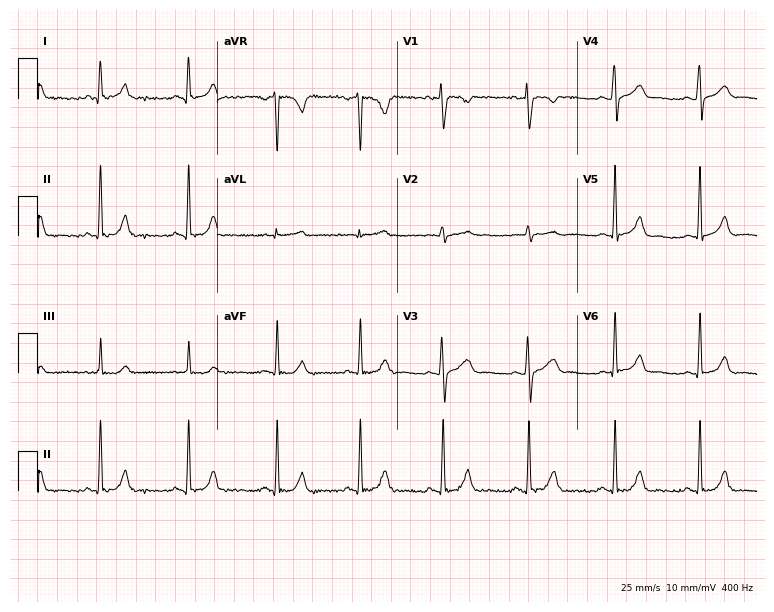
12-lead ECG from a 28-year-old female. Recorded interpretation: within normal limits.